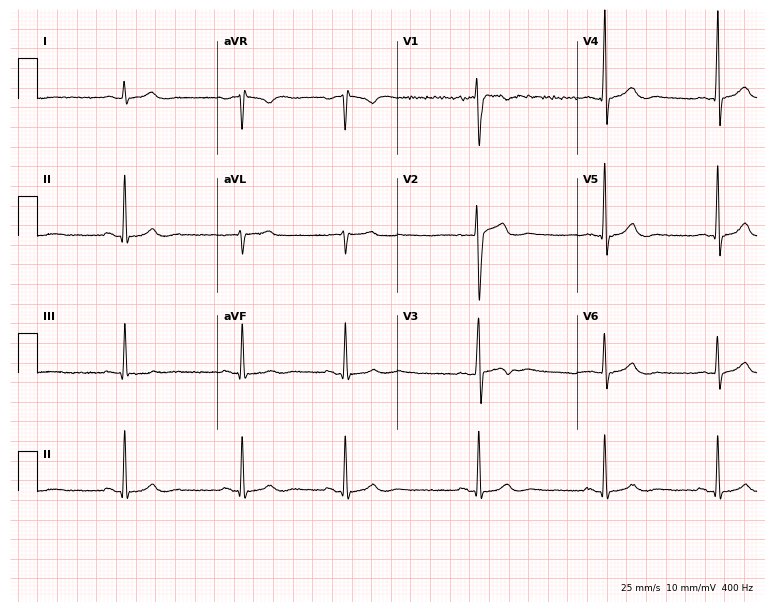
Standard 12-lead ECG recorded from a male patient, 27 years old. None of these six findings is recorded: first-degree AV block, right bundle branch block (RBBB), left bundle branch block (LBBB), sinus bradycardia, atrial fibrillation (AF), sinus tachycardia. Other findings, if any, are not listed.